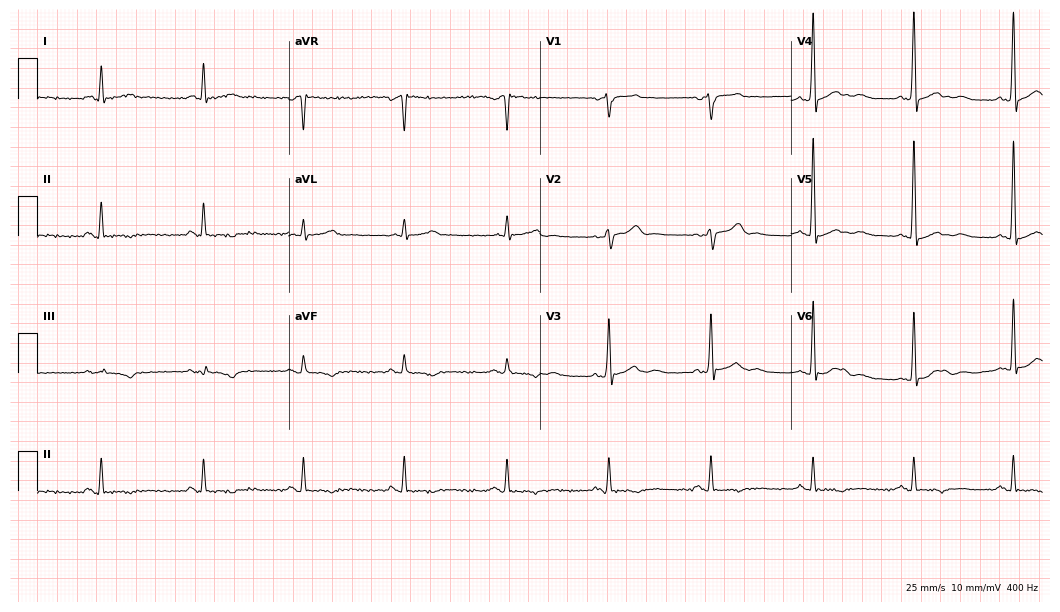
12-lead ECG from a man, 62 years old (10.2-second recording at 400 Hz). No first-degree AV block, right bundle branch block, left bundle branch block, sinus bradycardia, atrial fibrillation or sinus tachycardia recorded for this tracing.